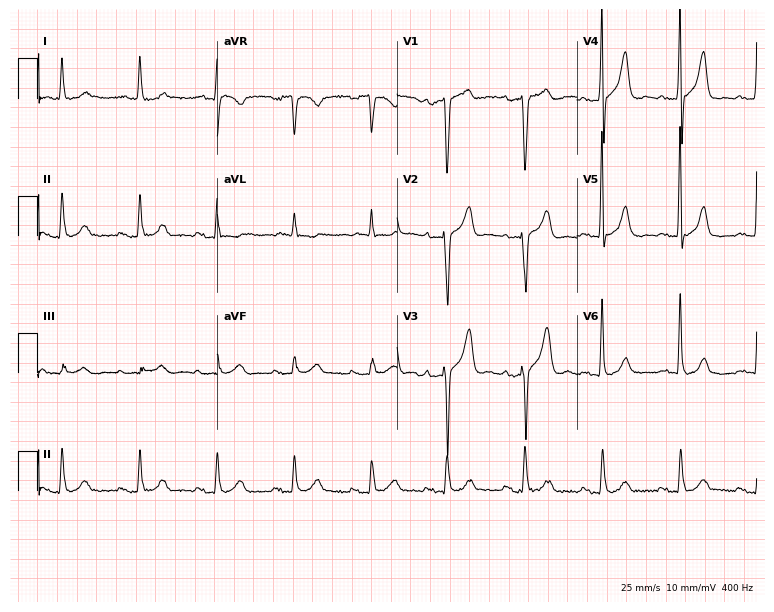
Standard 12-lead ECG recorded from a man, 68 years old. Read as a normal ECG.